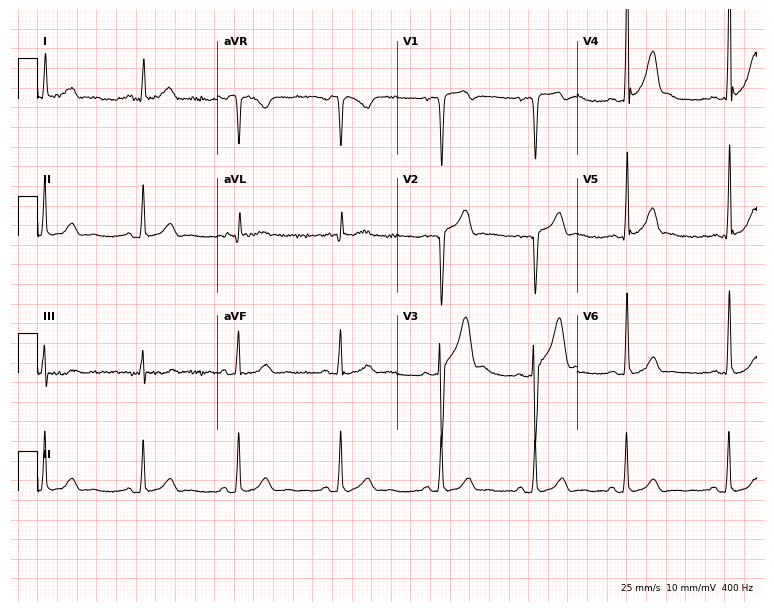
Electrocardiogram (7.3-second recording at 400 Hz), a male, 20 years old. Overall reading on record: normal ECG.